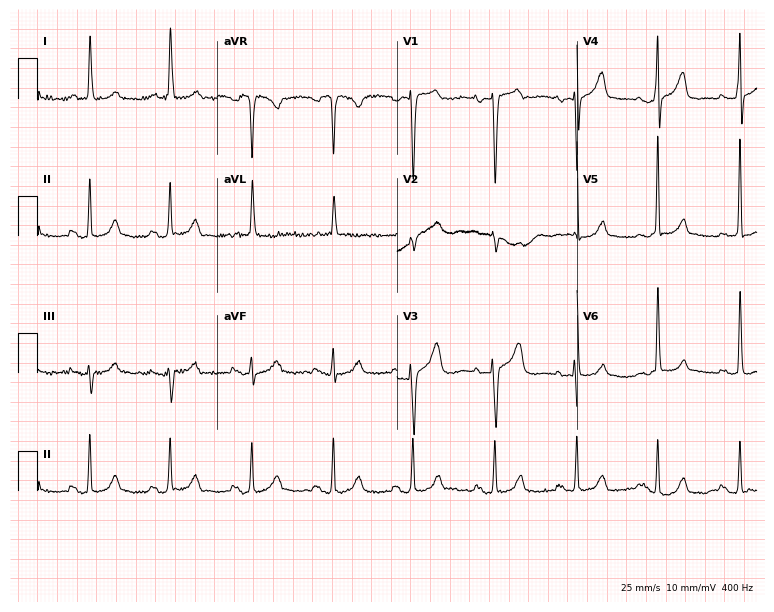
Electrocardiogram, a woman, 82 years old. Of the six screened findings (first-degree AV block, right bundle branch block, left bundle branch block, sinus bradycardia, atrial fibrillation, sinus tachycardia), none is recorded.